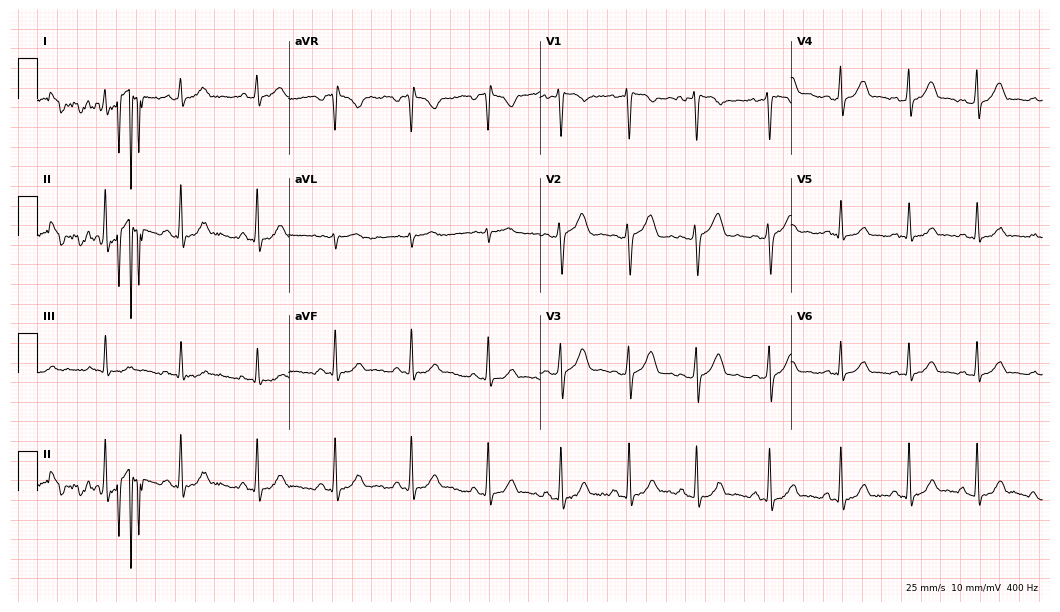
Standard 12-lead ECG recorded from a woman, 27 years old (10.2-second recording at 400 Hz). None of these six findings is recorded: first-degree AV block, right bundle branch block, left bundle branch block, sinus bradycardia, atrial fibrillation, sinus tachycardia.